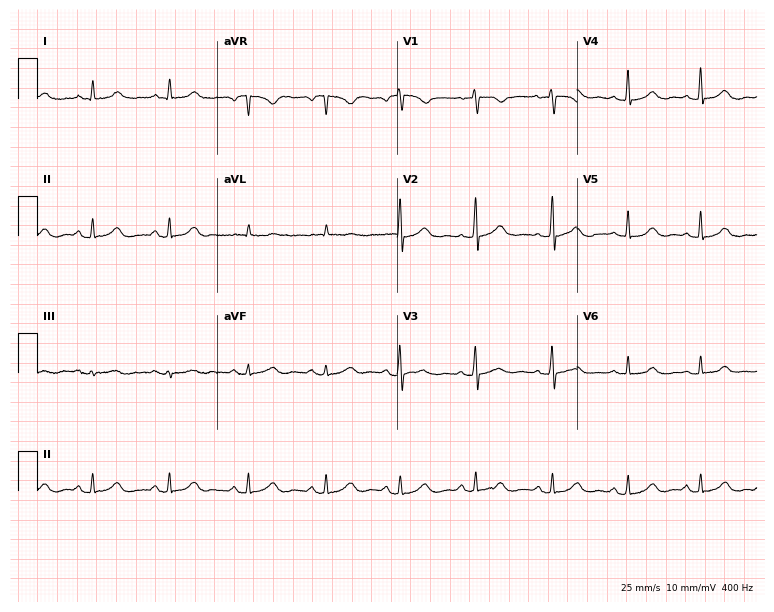
ECG — a male, 68 years old. Labelled as a normal ECG.